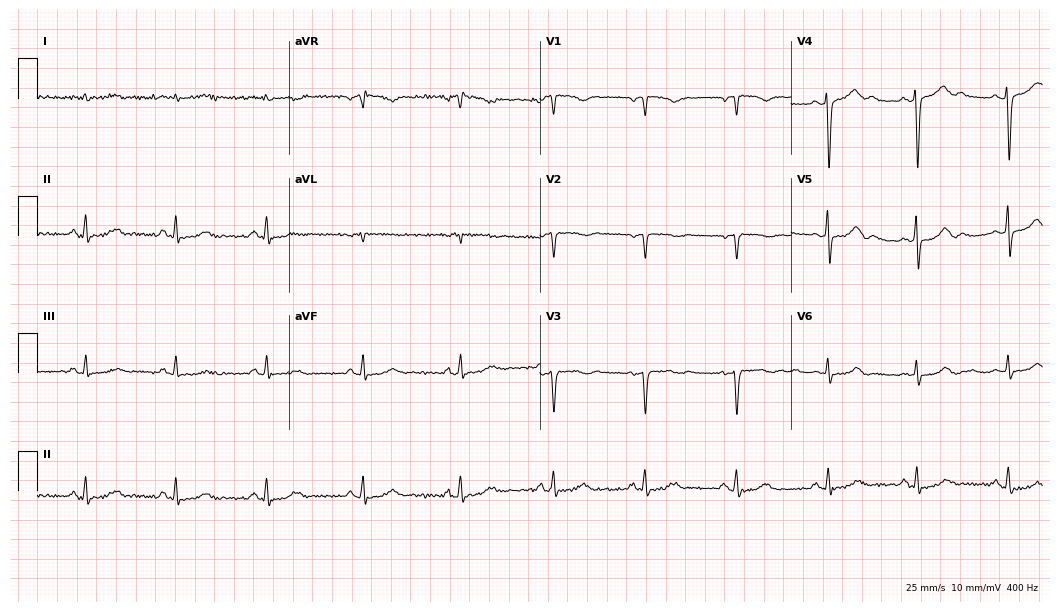
Standard 12-lead ECG recorded from a 40-year-old woman. None of these six findings is recorded: first-degree AV block, right bundle branch block, left bundle branch block, sinus bradycardia, atrial fibrillation, sinus tachycardia. Only these six findings were labelled.